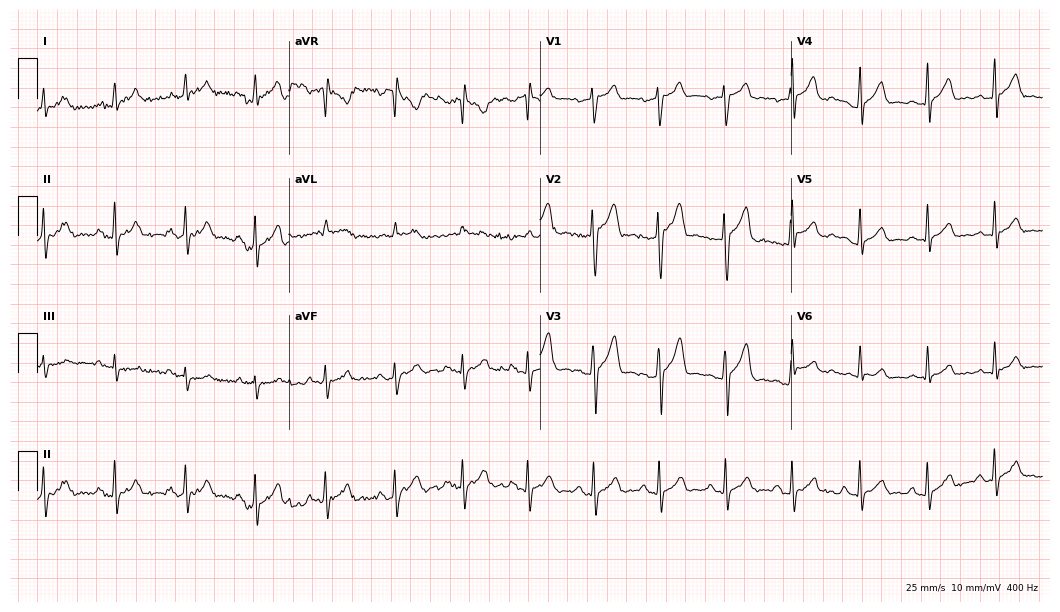
12-lead ECG (10.2-second recording at 400 Hz) from a 25-year-old man. Labelled as a normal ECG.